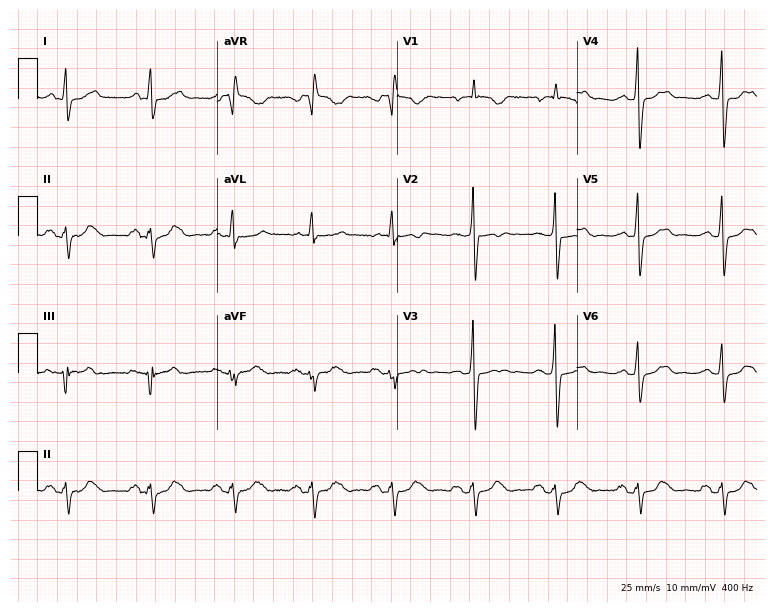
12-lead ECG from a female, 83 years old. Screened for six findings — first-degree AV block, right bundle branch block, left bundle branch block, sinus bradycardia, atrial fibrillation, sinus tachycardia — none is recorded.